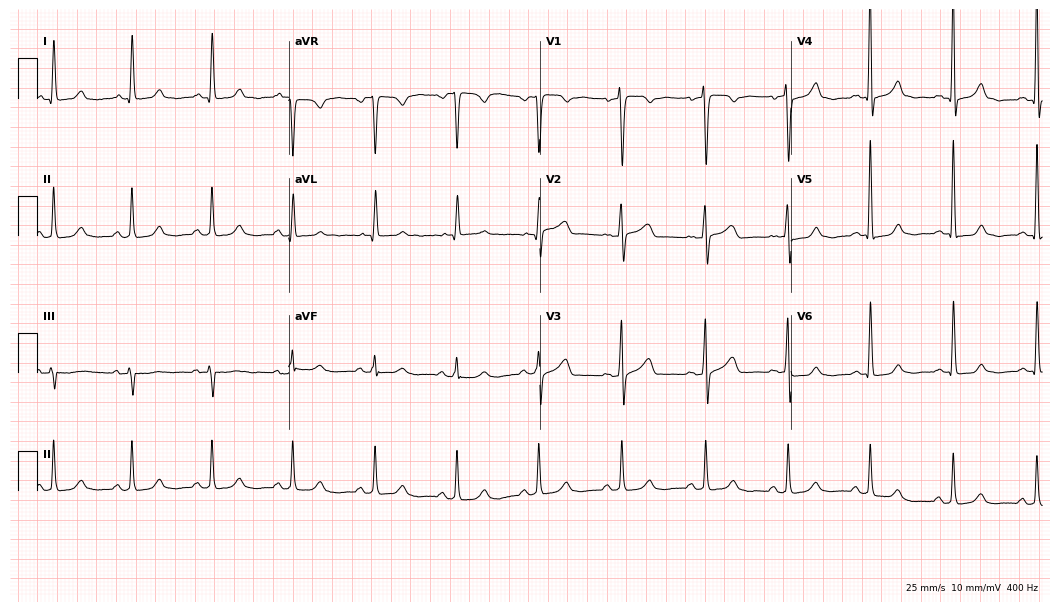
ECG (10.2-second recording at 400 Hz) — a 50-year-old female. Labelled as a normal ECG.